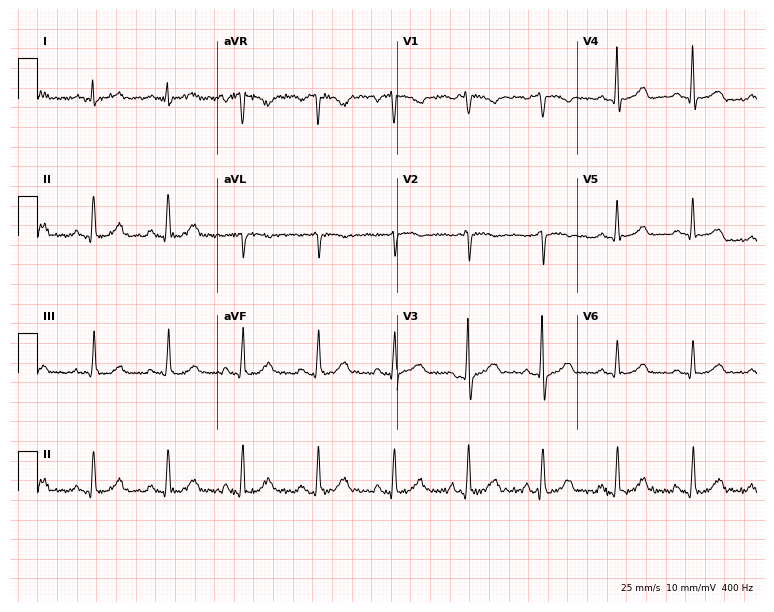
Resting 12-lead electrocardiogram. Patient: a 60-year-old female. Read as a normal ECG.